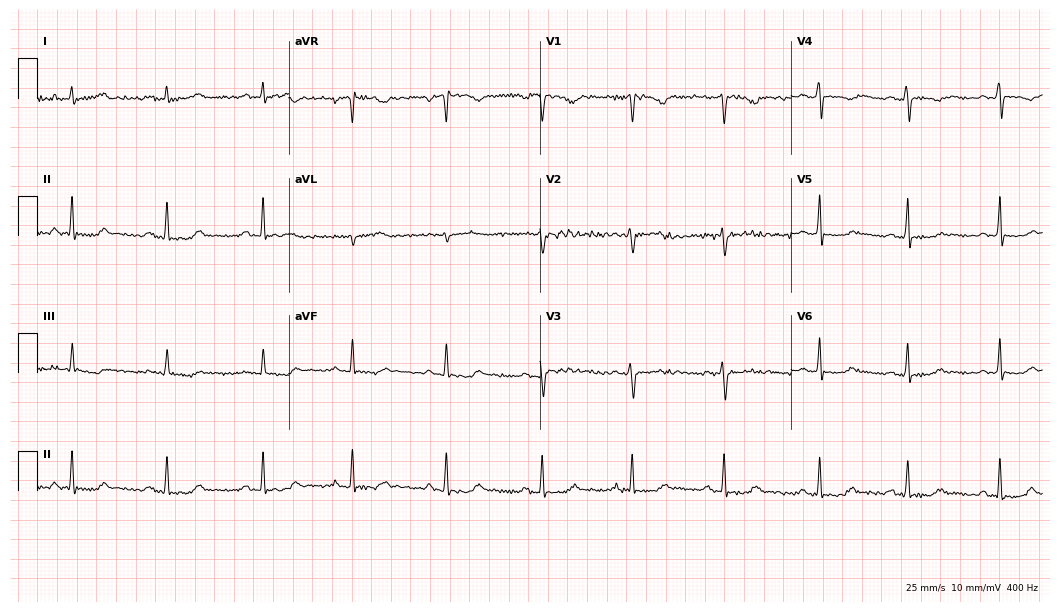
Resting 12-lead electrocardiogram (10.2-second recording at 400 Hz). Patient: a 27-year-old woman. None of these six findings is recorded: first-degree AV block, right bundle branch block, left bundle branch block, sinus bradycardia, atrial fibrillation, sinus tachycardia.